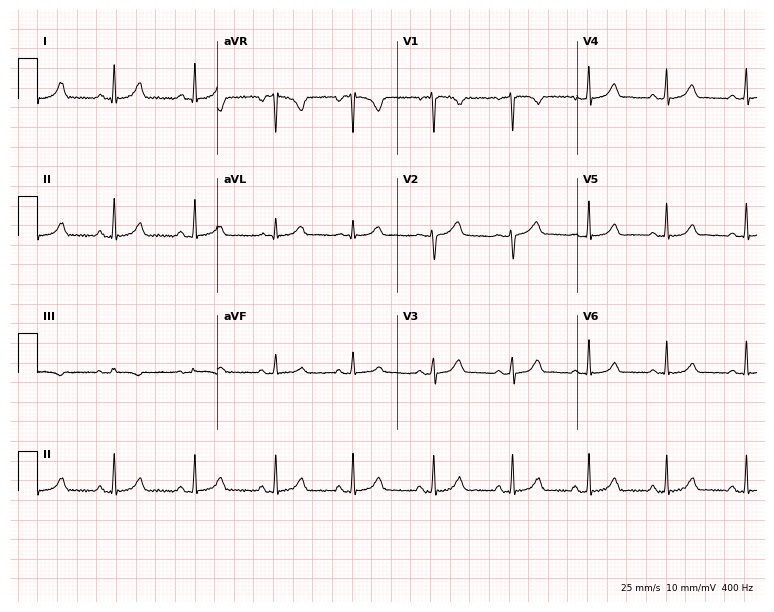
Electrocardiogram, a female, 37 years old. Overall reading on record: normal ECG.